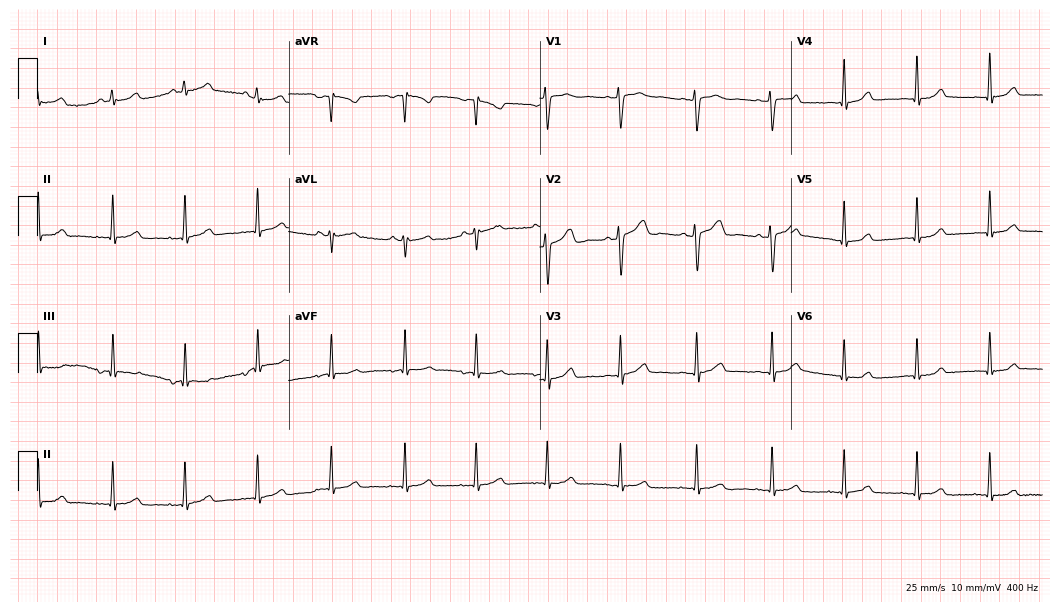
ECG (10.2-second recording at 400 Hz) — a female patient, 22 years old. Screened for six findings — first-degree AV block, right bundle branch block (RBBB), left bundle branch block (LBBB), sinus bradycardia, atrial fibrillation (AF), sinus tachycardia — none is recorded.